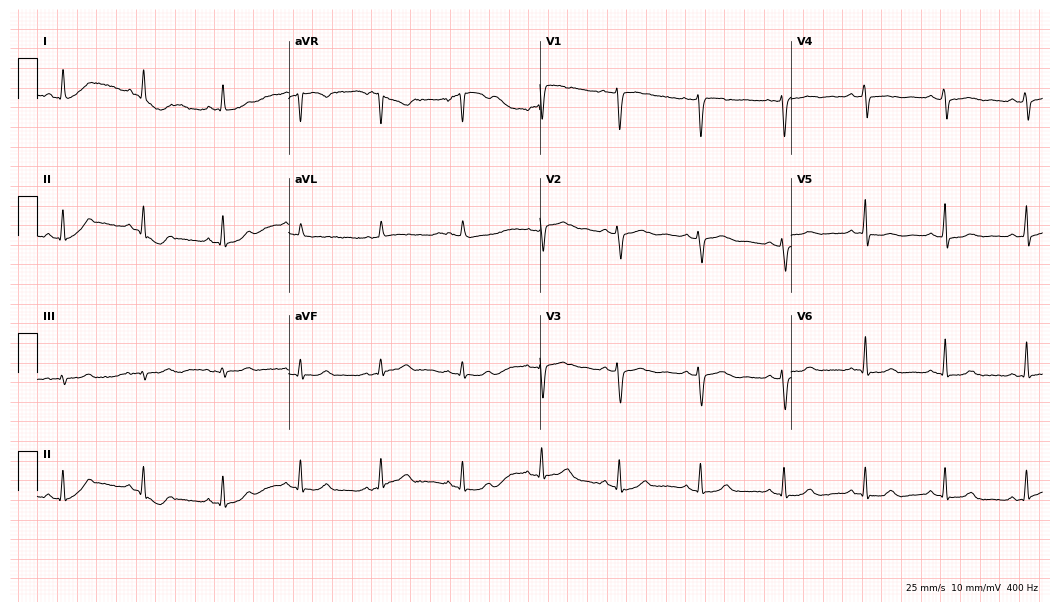
ECG — a woman, 41 years old. Labelled as a normal ECG.